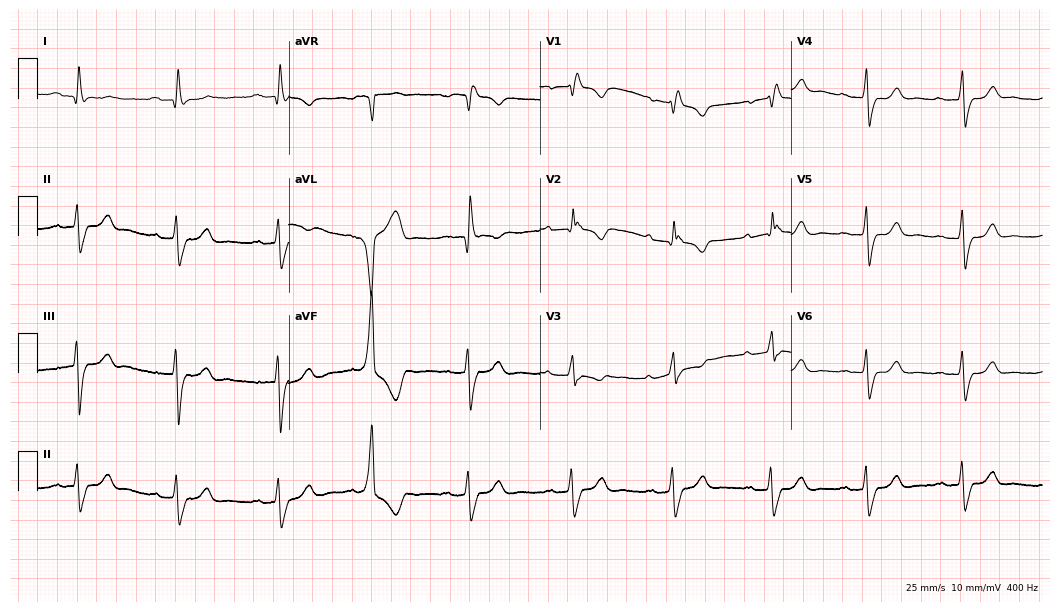
Standard 12-lead ECG recorded from a 56-year-old female patient. The tracing shows first-degree AV block, right bundle branch block (RBBB).